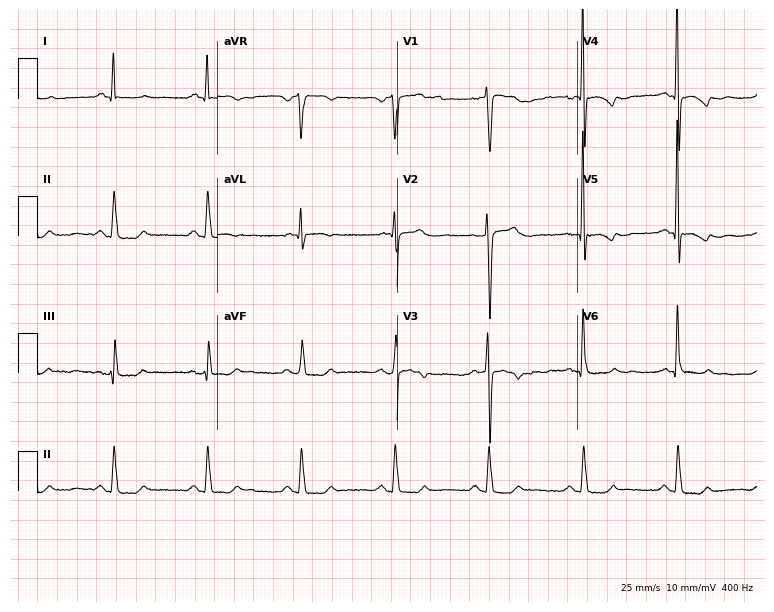
Resting 12-lead electrocardiogram. Patient: a 77-year-old man. None of these six findings is recorded: first-degree AV block, right bundle branch block (RBBB), left bundle branch block (LBBB), sinus bradycardia, atrial fibrillation (AF), sinus tachycardia. Findings outside these six are not listed.